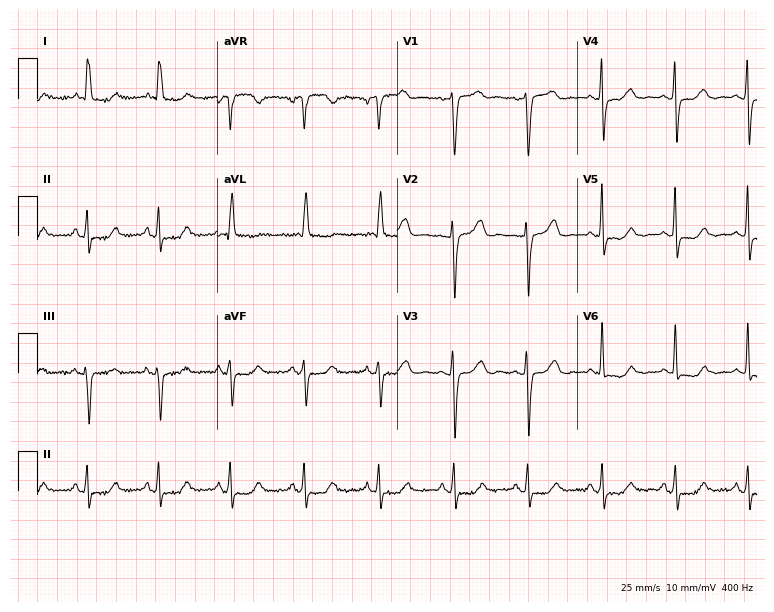
Electrocardiogram, a female, 75 years old. Of the six screened findings (first-degree AV block, right bundle branch block, left bundle branch block, sinus bradycardia, atrial fibrillation, sinus tachycardia), none is recorded. Other findings, if any, are not listed.